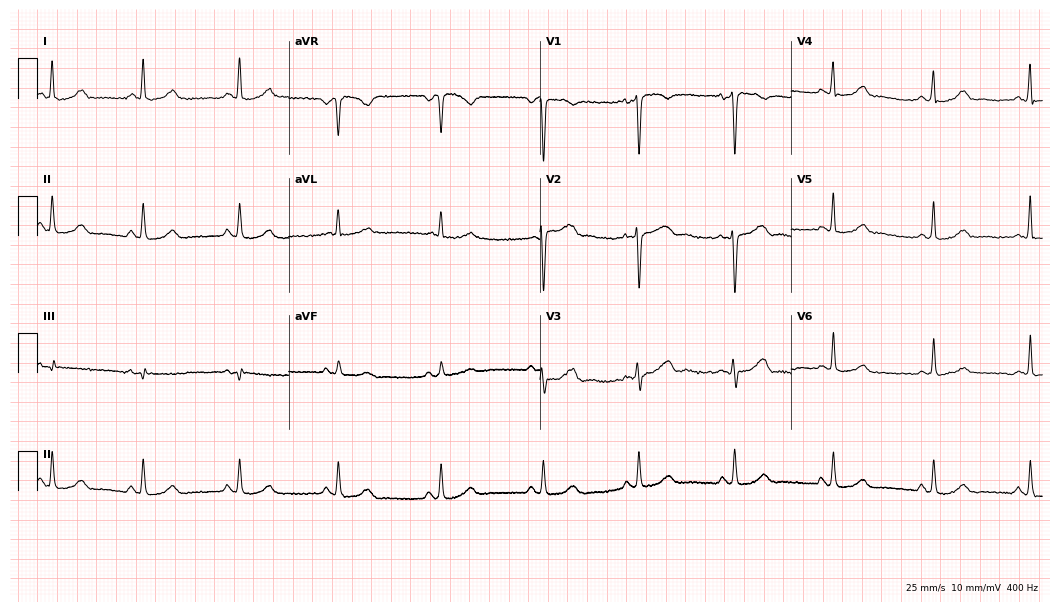
ECG — a female, 54 years old. Labelled as a normal ECG.